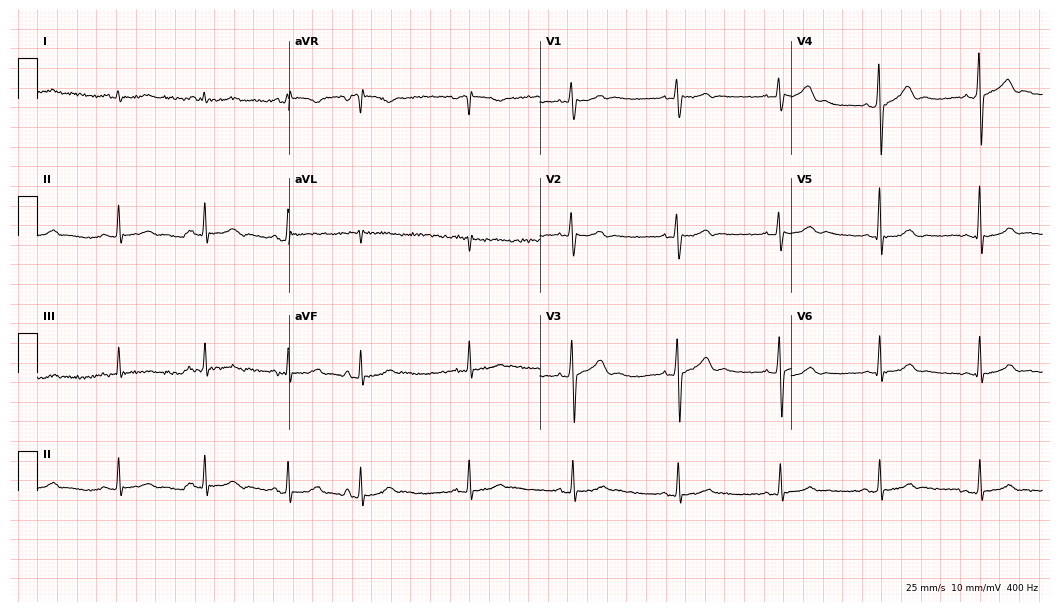
ECG — a 41-year-old male patient. Labelled as a normal ECG.